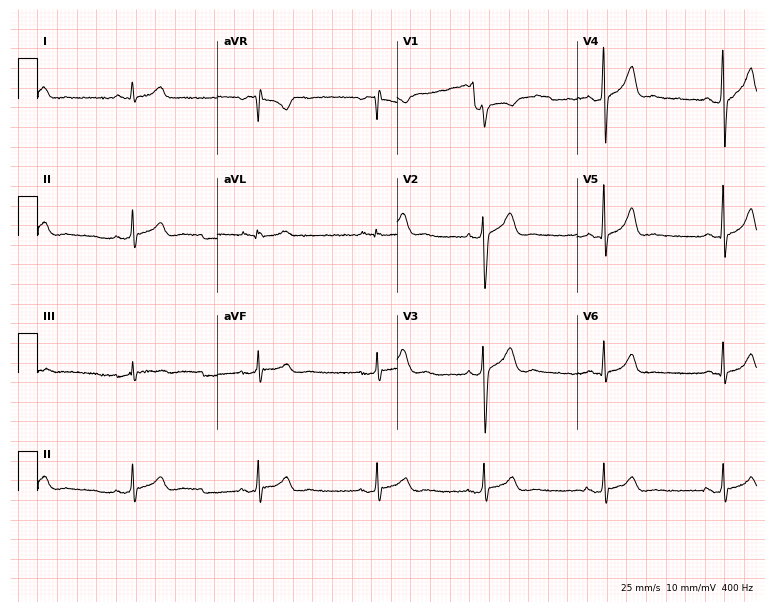
Electrocardiogram, a 27-year-old man. Interpretation includes sinus bradycardia (a sinus rate of 50 beats per minute or less).